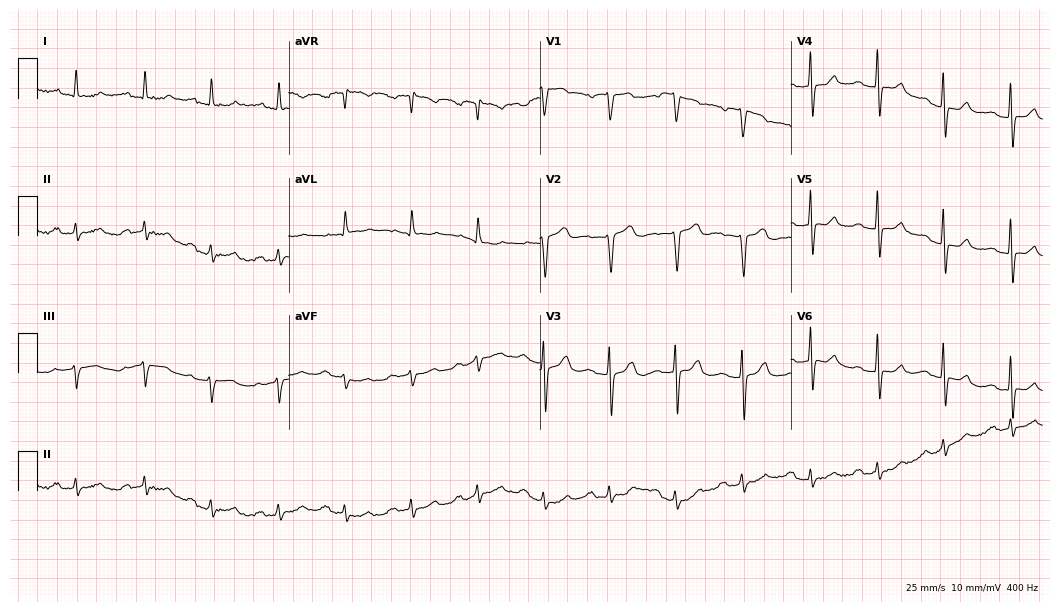
Electrocardiogram (10.2-second recording at 400 Hz), a 76-year-old female patient. Interpretation includes first-degree AV block.